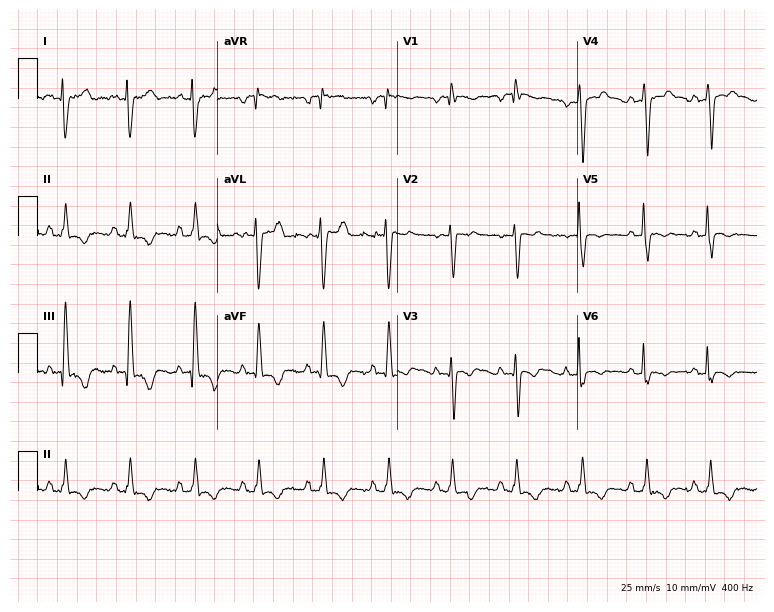
Resting 12-lead electrocardiogram (7.3-second recording at 400 Hz). Patient: a woman, 75 years old. None of these six findings is recorded: first-degree AV block, right bundle branch block, left bundle branch block, sinus bradycardia, atrial fibrillation, sinus tachycardia. Other findings, if any, are not listed.